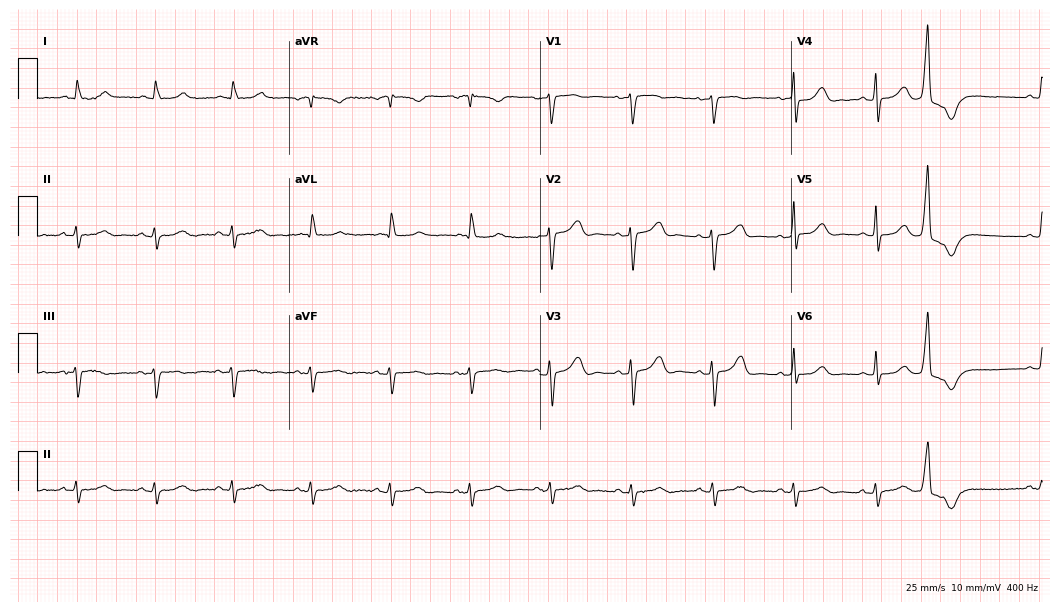
Resting 12-lead electrocardiogram (10.2-second recording at 400 Hz). Patient: an 83-year-old female. None of these six findings is recorded: first-degree AV block, right bundle branch block, left bundle branch block, sinus bradycardia, atrial fibrillation, sinus tachycardia. Other findings, if any, are not listed.